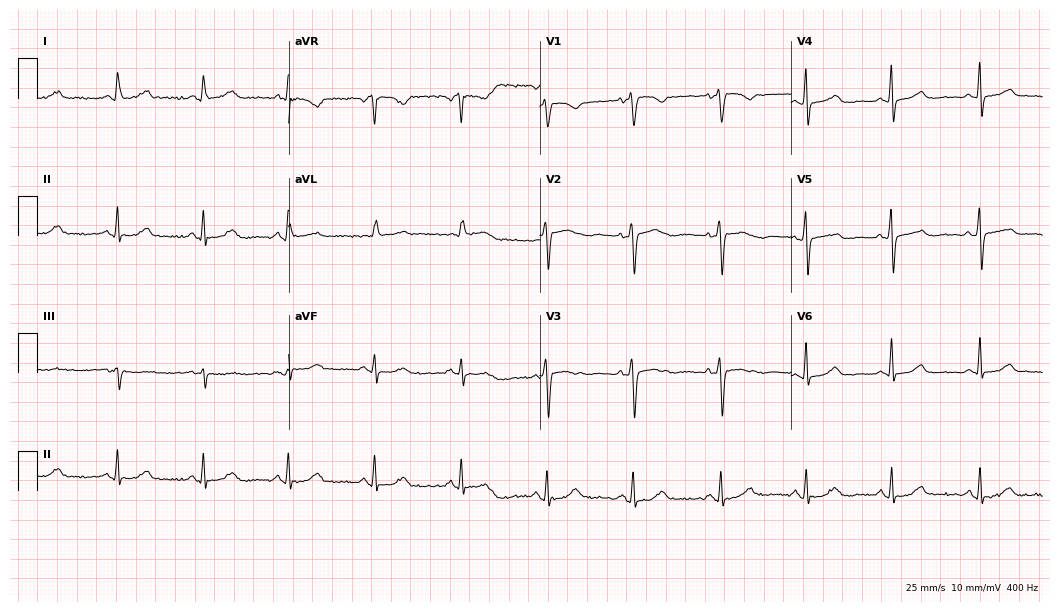
12-lead ECG (10.2-second recording at 400 Hz) from a woman, 54 years old. Labelled as a normal ECG.